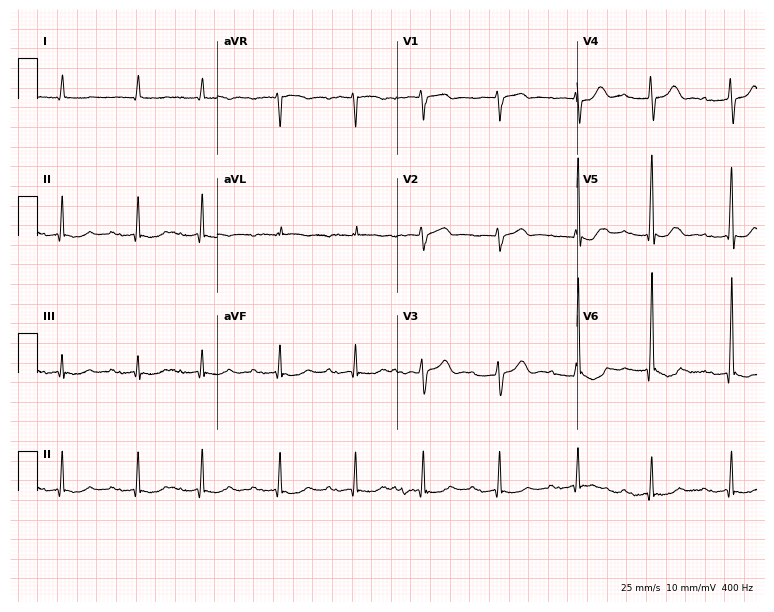
12-lead ECG from an 85-year-old male patient (7.3-second recording at 400 Hz). No first-degree AV block, right bundle branch block, left bundle branch block, sinus bradycardia, atrial fibrillation or sinus tachycardia recorded for this tracing.